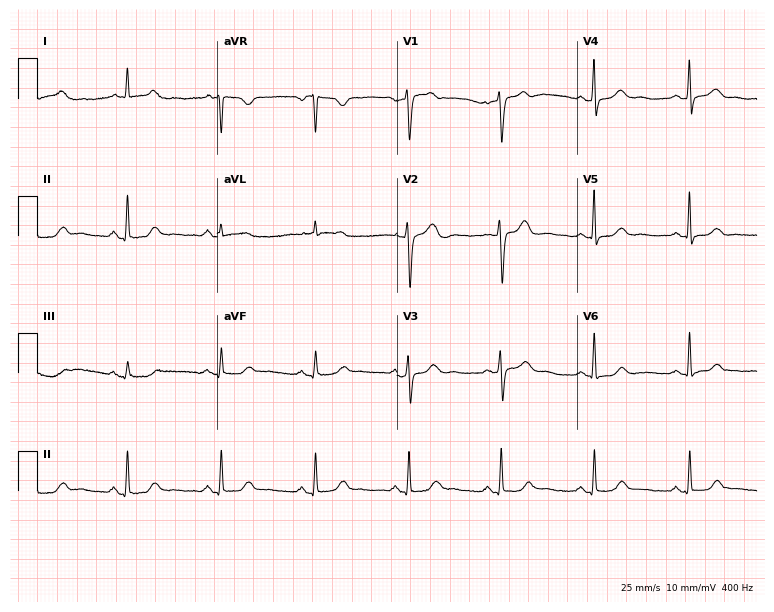
Electrocardiogram (7.3-second recording at 400 Hz), a 60-year-old female. Of the six screened findings (first-degree AV block, right bundle branch block, left bundle branch block, sinus bradycardia, atrial fibrillation, sinus tachycardia), none is recorded. Other findings, if any, are not listed.